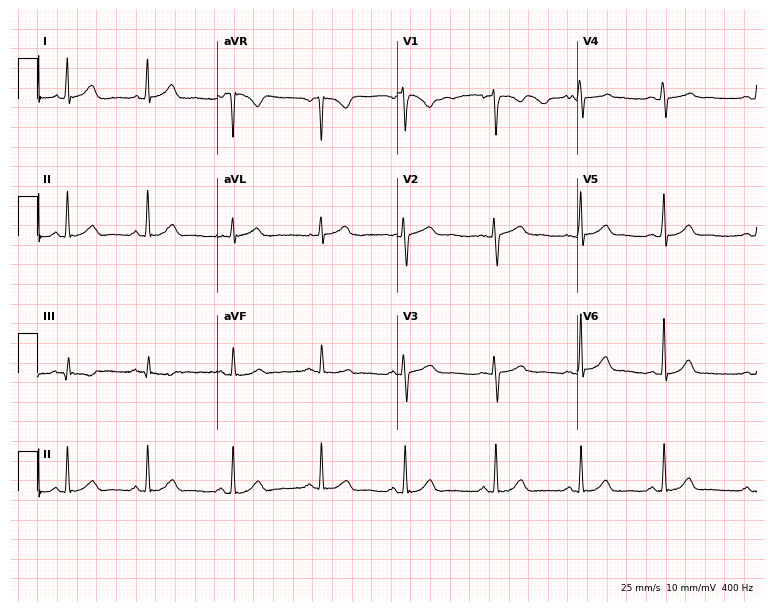
Electrocardiogram (7.3-second recording at 400 Hz), a 23-year-old female. Of the six screened findings (first-degree AV block, right bundle branch block, left bundle branch block, sinus bradycardia, atrial fibrillation, sinus tachycardia), none is recorded.